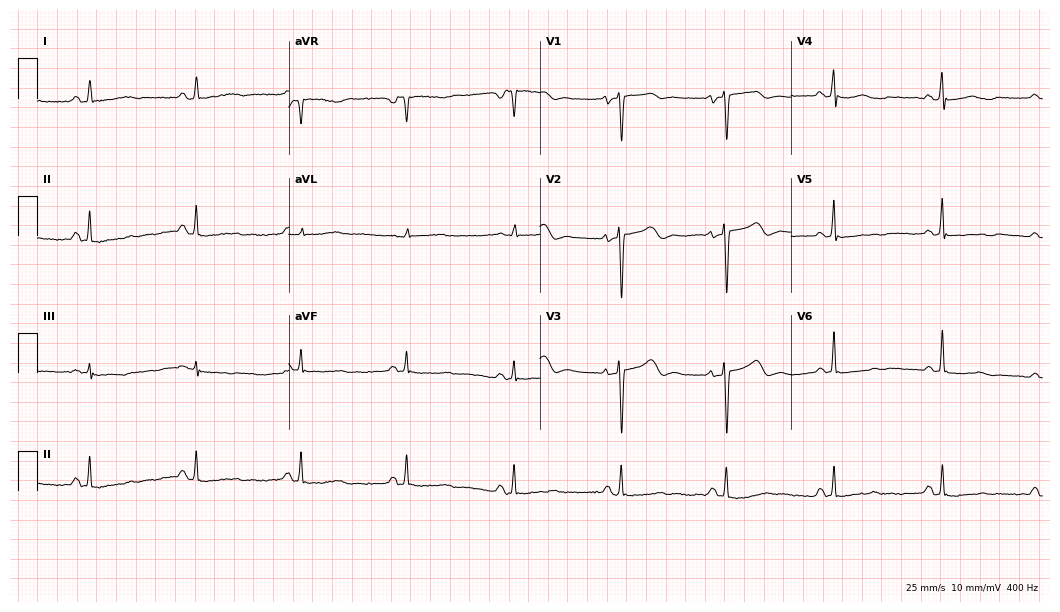
12-lead ECG from a 48-year-old woman. Screened for six findings — first-degree AV block, right bundle branch block, left bundle branch block, sinus bradycardia, atrial fibrillation, sinus tachycardia — none is recorded. Other findings, if any, are not listed.